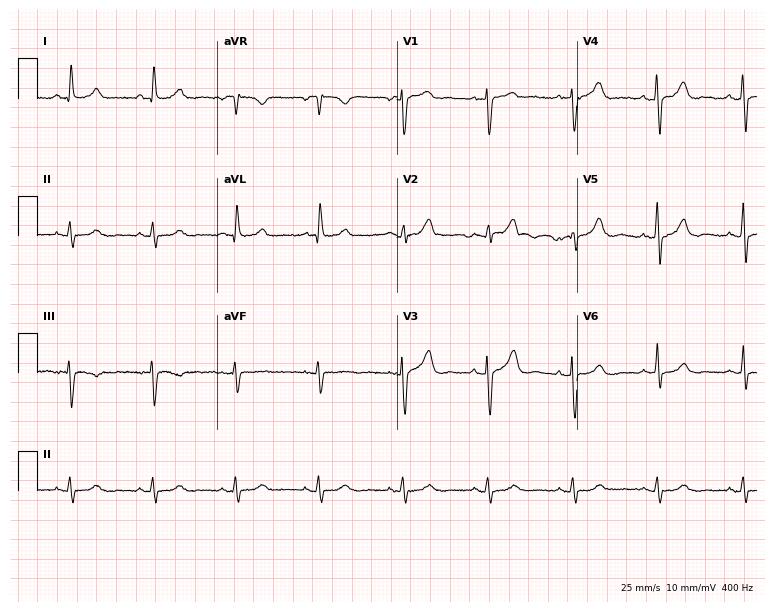
12-lead ECG from a male patient, 77 years old. No first-degree AV block, right bundle branch block (RBBB), left bundle branch block (LBBB), sinus bradycardia, atrial fibrillation (AF) or sinus tachycardia recorded for this tracing. Only these six findings were labelled.